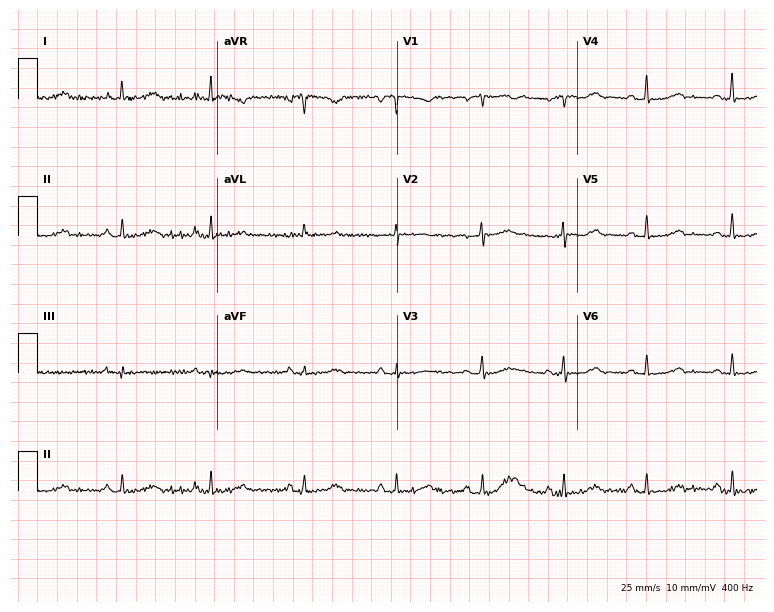
12-lead ECG from a 47-year-old female patient (7.3-second recording at 400 Hz). No first-degree AV block, right bundle branch block, left bundle branch block, sinus bradycardia, atrial fibrillation or sinus tachycardia recorded for this tracing. Only these six findings were labelled.